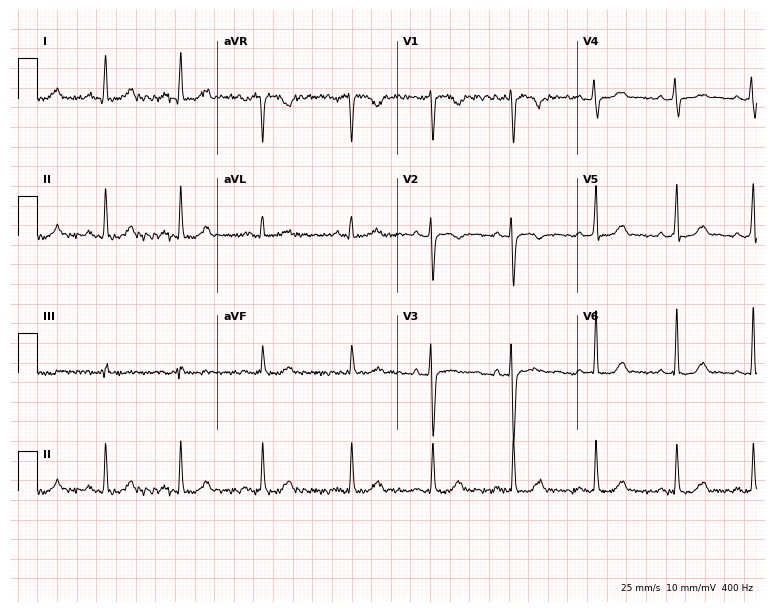
12-lead ECG from a woman, 32 years old (7.3-second recording at 400 Hz). No first-degree AV block, right bundle branch block, left bundle branch block, sinus bradycardia, atrial fibrillation or sinus tachycardia recorded for this tracing.